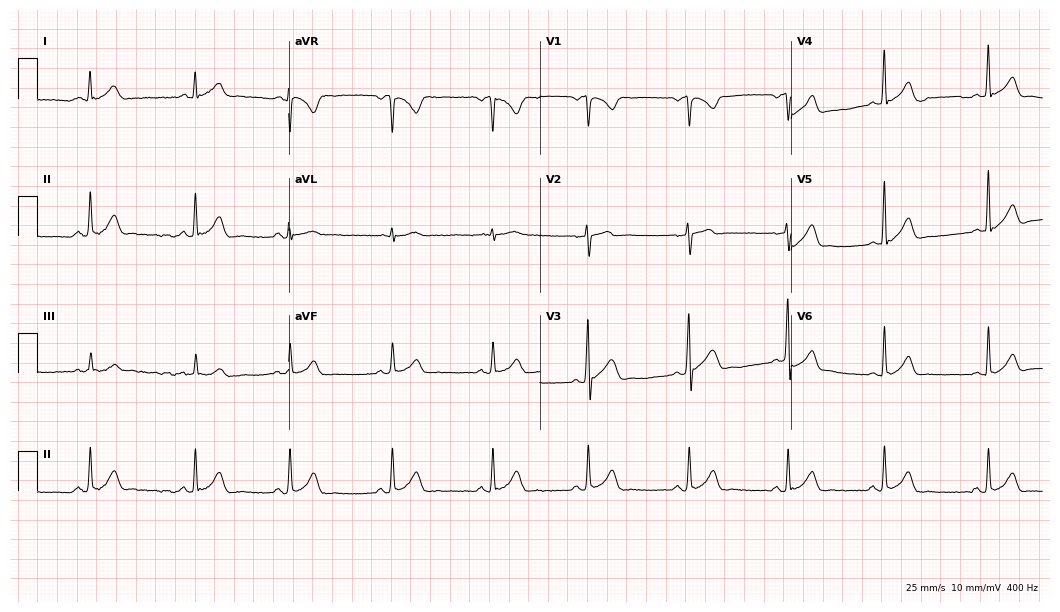
12-lead ECG (10.2-second recording at 400 Hz) from a man, 37 years old. Screened for six findings — first-degree AV block, right bundle branch block, left bundle branch block, sinus bradycardia, atrial fibrillation, sinus tachycardia — none is recorded. Findings outside these six are not listed.